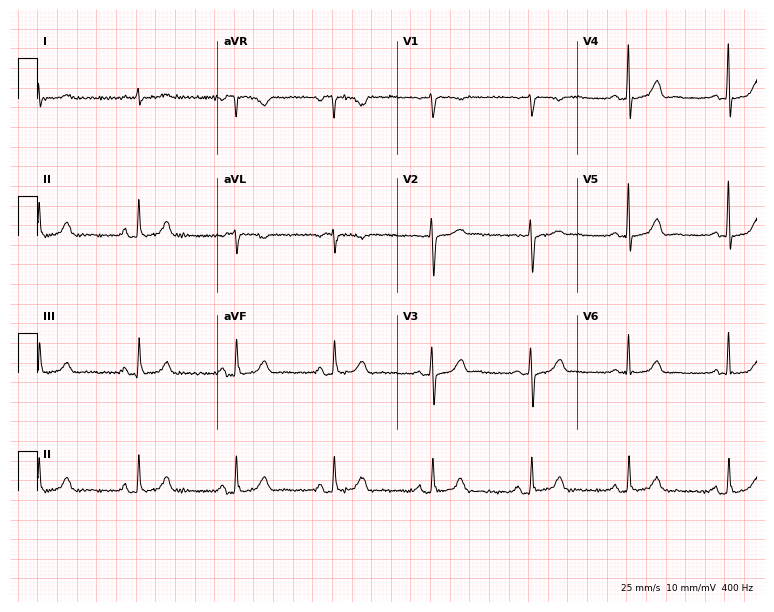
Electrocardiogram, a female patient, 68 years old. Overall reading on record: normal ECG.